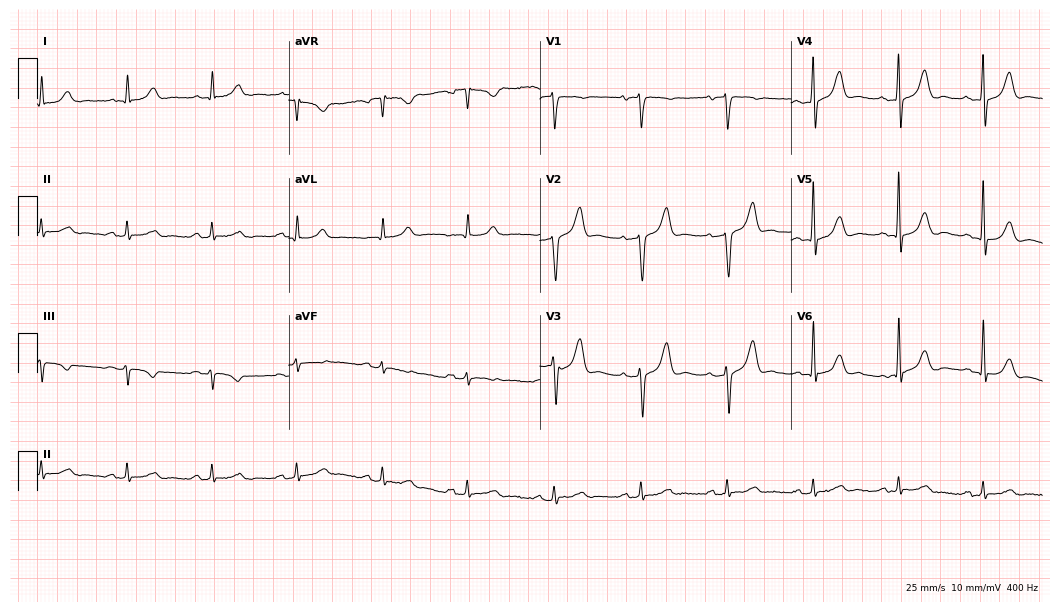
12-lead ECG (10.2-second recording at 400 Hz) from a male patient, 80 years old. Screened for six findings — first-degree AV block, right bundle branch block, left bundle branch block, sinus bradycardia, atrial fibrillation, sinus tachycardia — none is recorded. Findings outside these six are not listed.